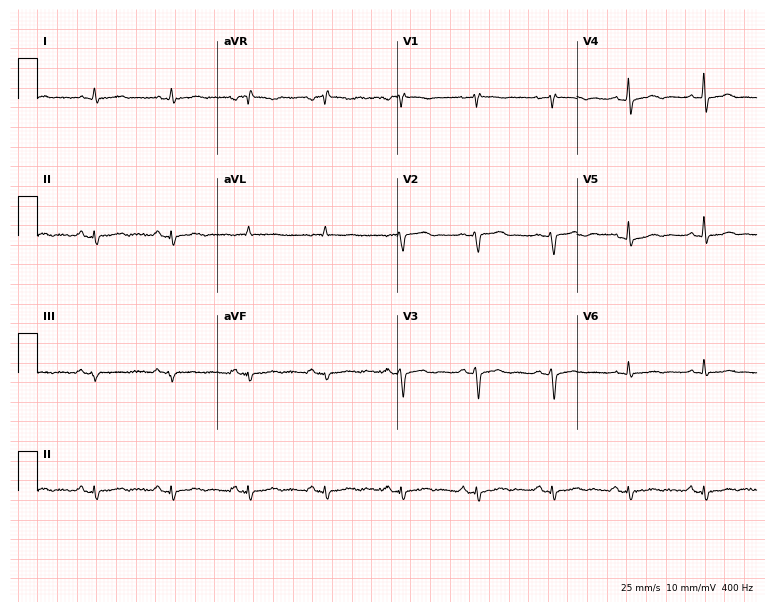
Resting 12-lead electrocardiogram (7.3-second recording at 400 Hz). Patient: a female, 65 years old. None of these six findings is recorded: first-degree AV block, right bundle branch block (RBBB), left bundle branch block (LBBB), sinus bradycardia, atrial fibrillation (AF), sinus tachycardia. Findings outside these six are not listed.